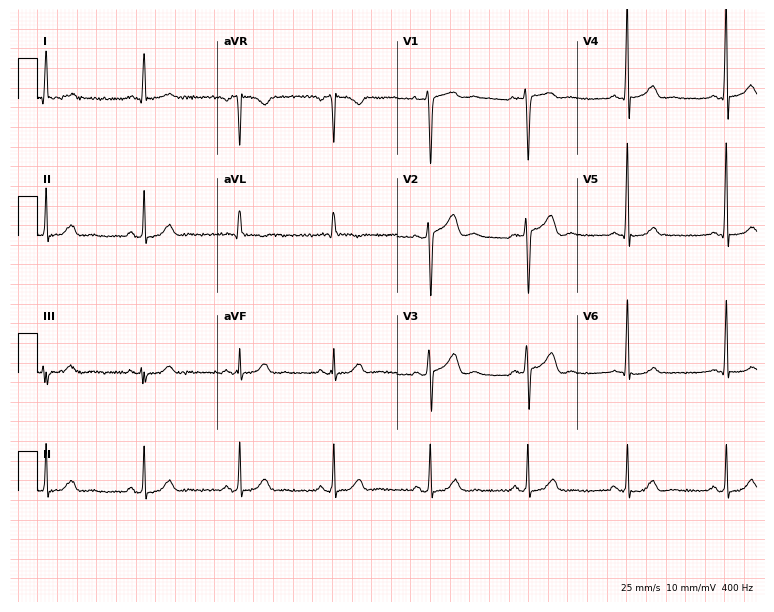
Standard 12-lead ECG recorded from a 42-year-old female patient (7.3-second recording at 400 Hz). Read as a normal ECG.